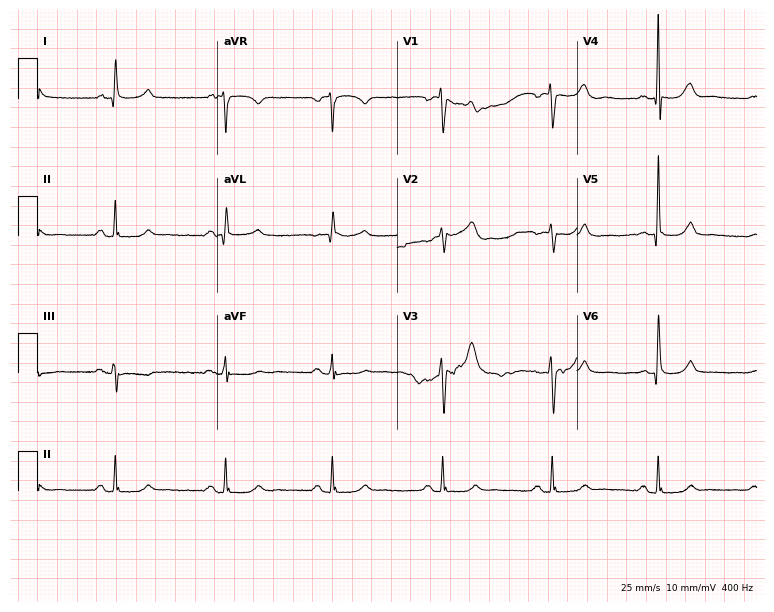
Resting 12-lead electrocardiogram. Patient: a male, 65 years old. None of these six findings is recorded: first-degree AV block, right bundle branch block (RBBB), left bundle branch block (LBBB), sinus bradycardia, atrial fibrillation (AF), sinus tachycardia. Findings outside these six are not listed.